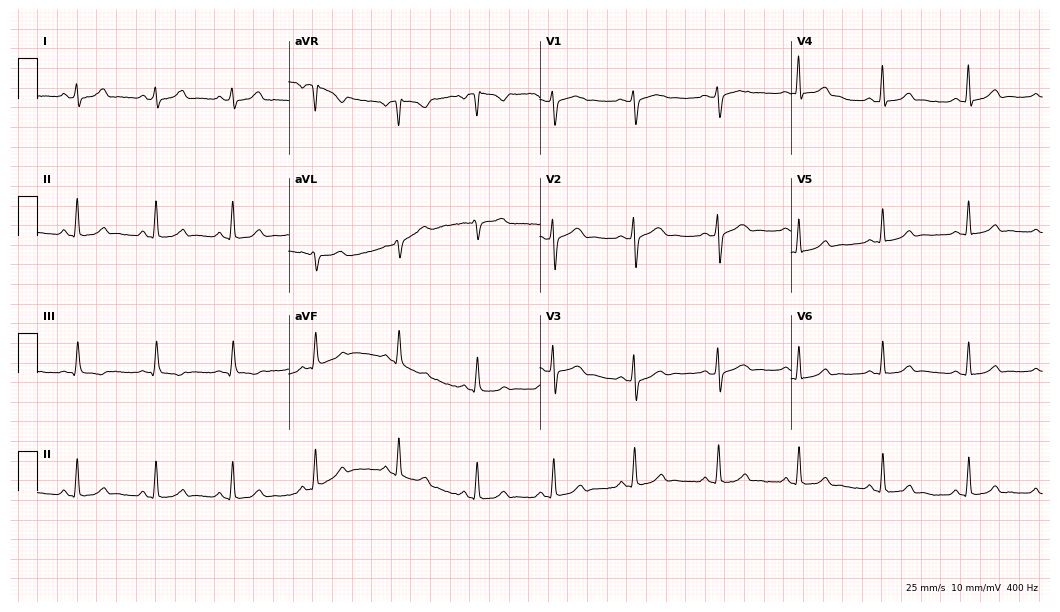
Electrocardiogram (10.2-second recording at 400 Hz), a female, 23 years old. Overall reading on record: normal ECG.